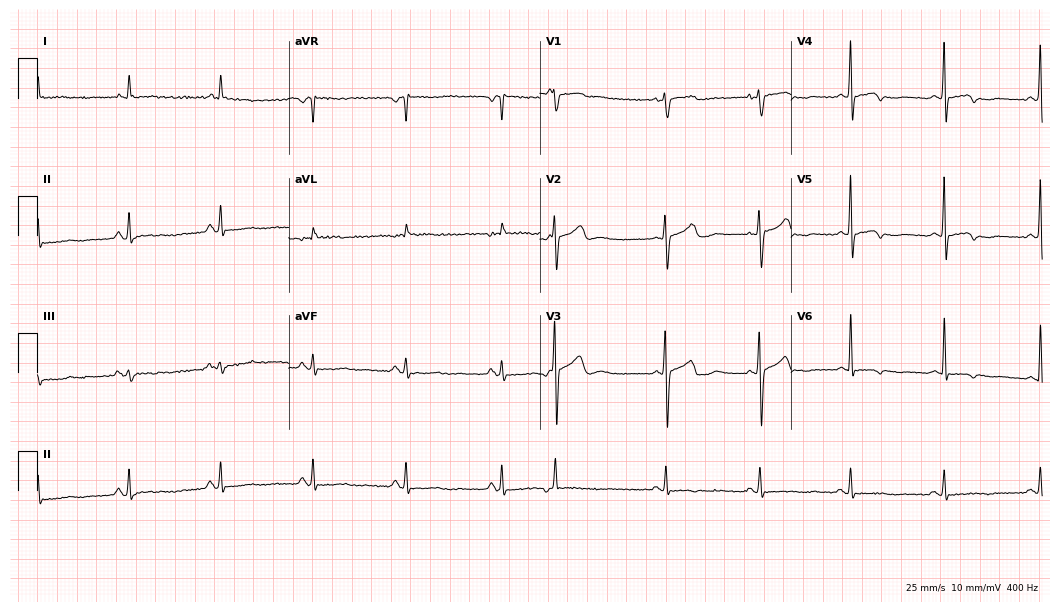
Electrocardiogram, a 77-year-old female patient. Of the six screened findings (first-degree AV block, right bundle branch block, left bundle branch block, sinus bradycardia, atrial fibrillation, sinus tachycardia), none is recorded. Findings outside these six are not listed.